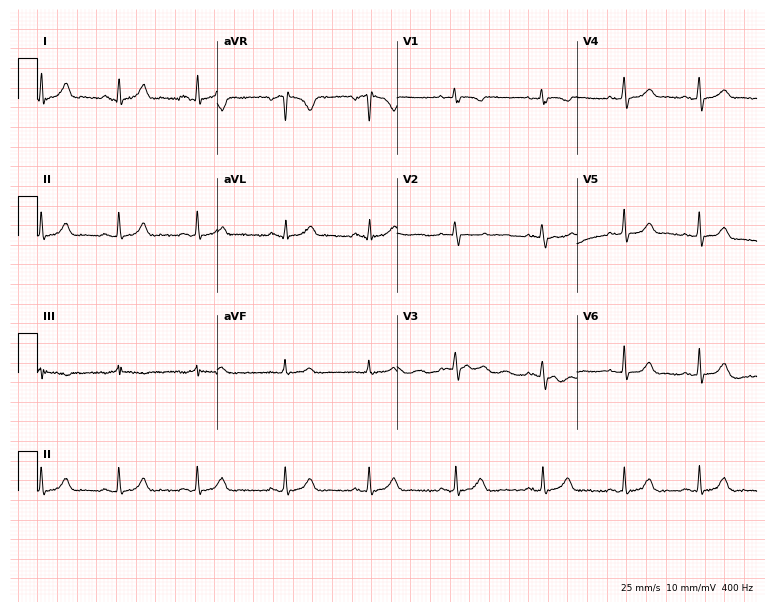
Resting 12-lead electrocardiogram (7.3-second recording at 400 Hz). Patient: a woman, 27 years old. Read as a normal ECG.